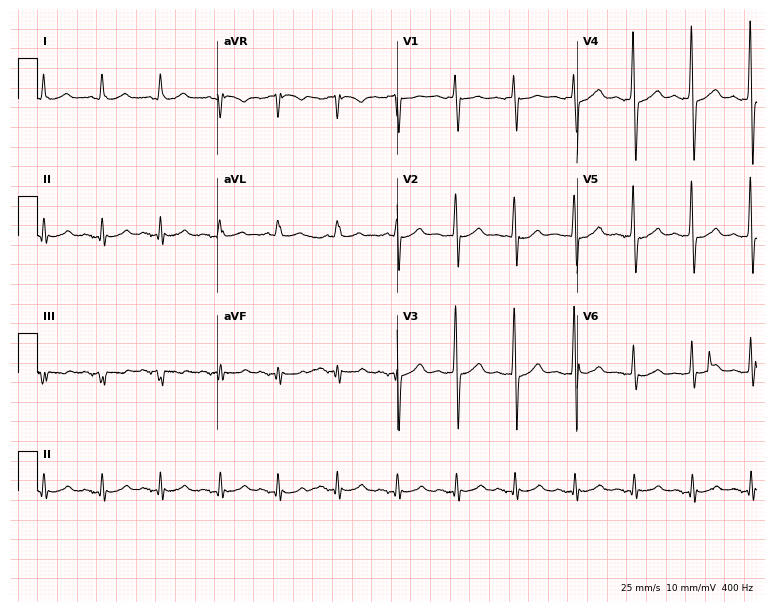
Standard 12-lead ECG recorded from a woman, 84 years old (7.3-second recording at 400 Hz). None of these six findings is recorded: first-degree AV block, right bundle branch block, left bundle branch block, sinus bradycardia, atrial fibrillation, sinus tachycardia. Findings outside these six are not listed.